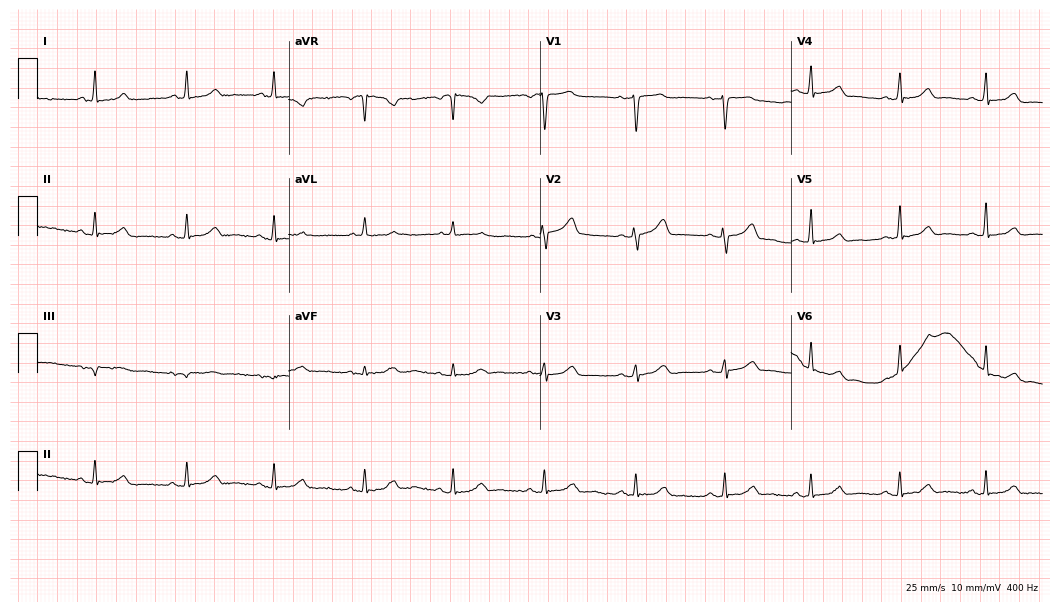
12-lead ECG from a 64-year-old woman (10.2-second recording at 400 Hz). Recorded interpretation: within normal limits.